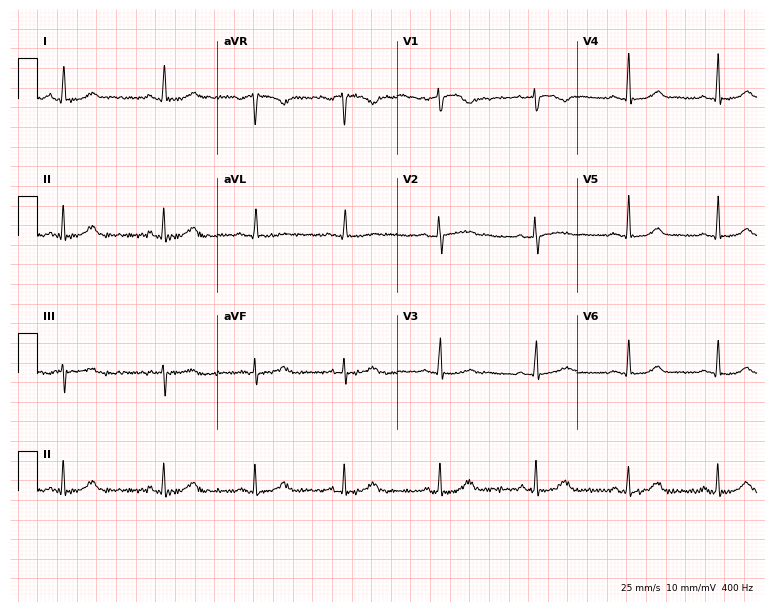
12-lead ECG from a 54-year-old female. Screened for six findings — first-degree AV block, right bundle branch block (RBBB), left bundle branch block (LBBB), sinus bradycardia, atrial fibrillation (AF), sinus tachycardia — none is recorded. Other findings, if any, are not listed.